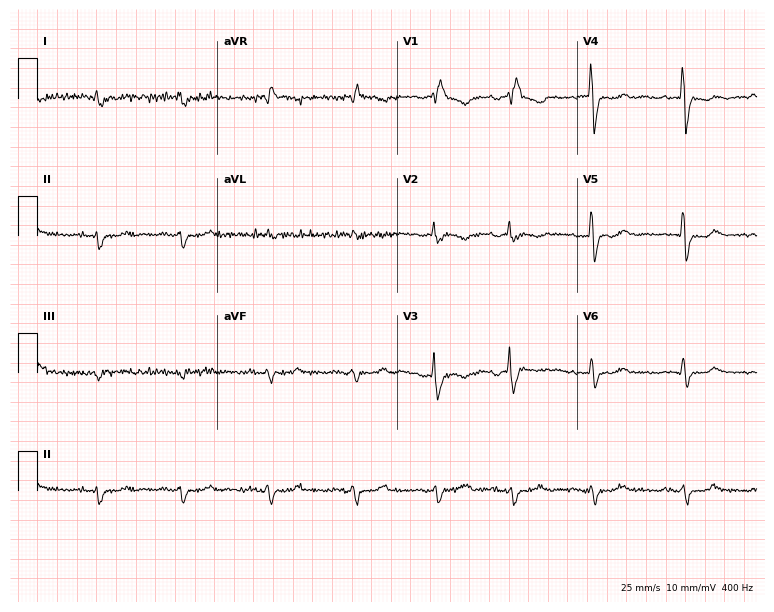
Standard 12-lead ECG recorded from a male patient, 69 years old (7.3-second recording at 400 Hz). None of these six findings is recorded: first-degree AV block, right bundle branch block (RBBB), left bundle branch block (LBBB), sinus bradycardia, atrial fibrillation (AF), sinus tachycardia. Other findings, if any, are not listed.